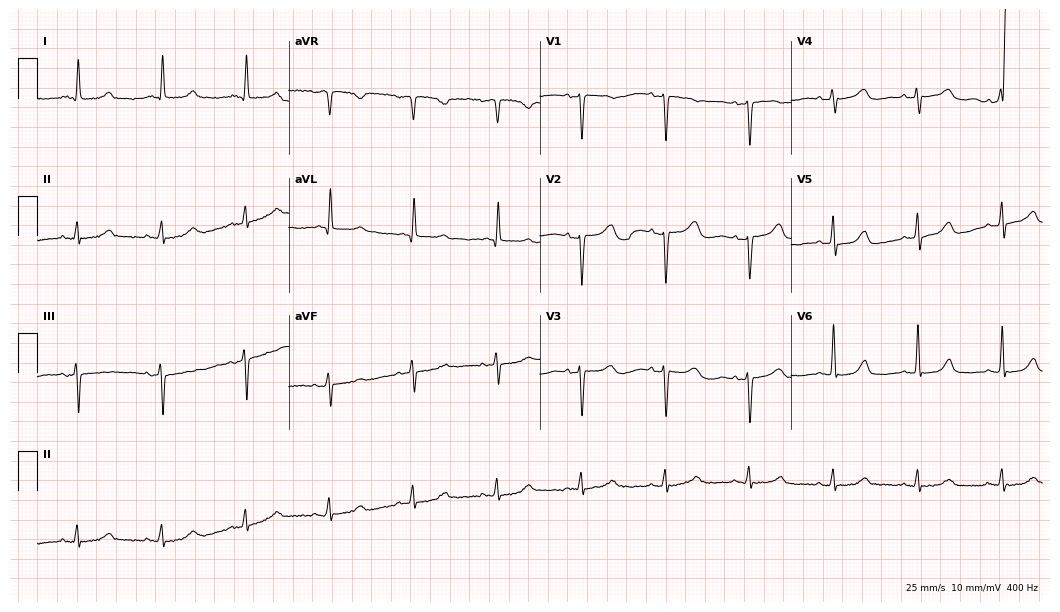
Standard 12-lead ECG recorded from a female patient, 60 years old. Read as a normal ECG.